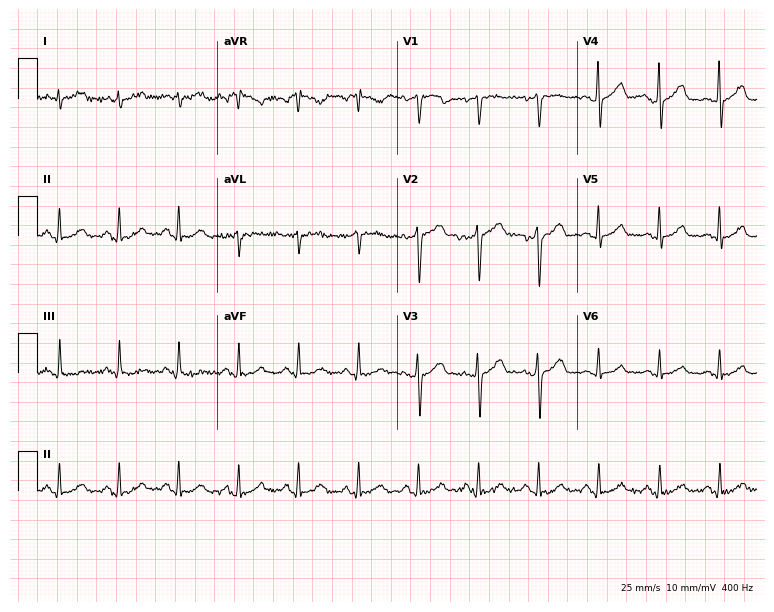
12-lead ECG from a 58-year-old male. Labelled as a normal ECG.